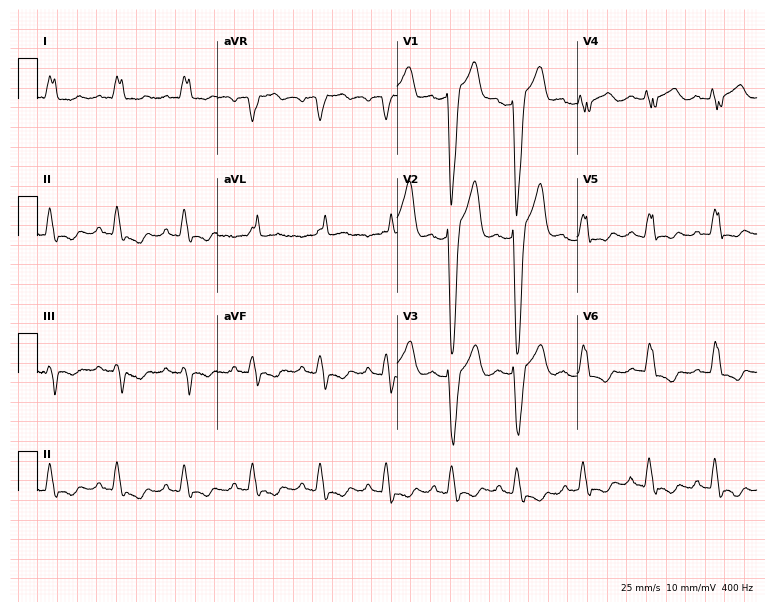
Electrocardiogram, a 48-year-old man. Interpretation includes left bundle branch block.